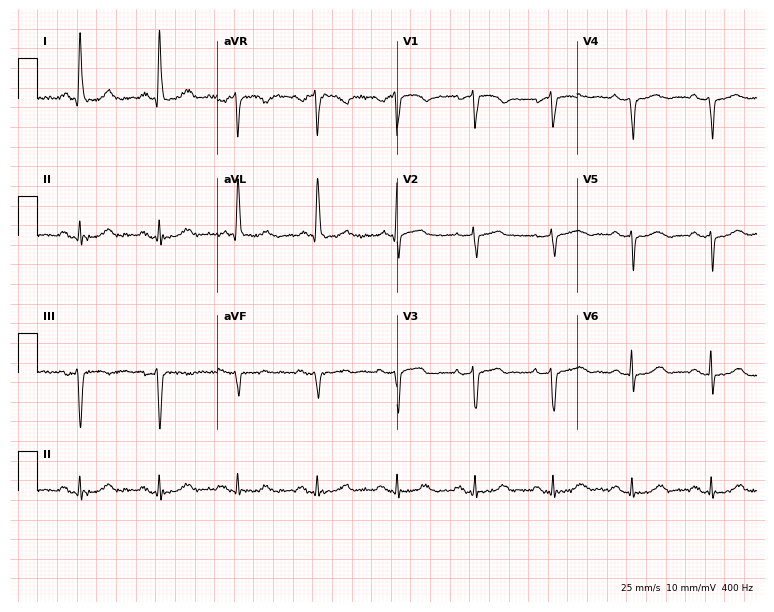
Electrocardiogram, an 81-year-old female patient. Of the six screened findings (first-degree AV block, right bundle branch block, left bundle branch block, sinus bradycardia, atrial fibrillation, sinus tachycardia), none is recorded. Findings outside these six are not listed.